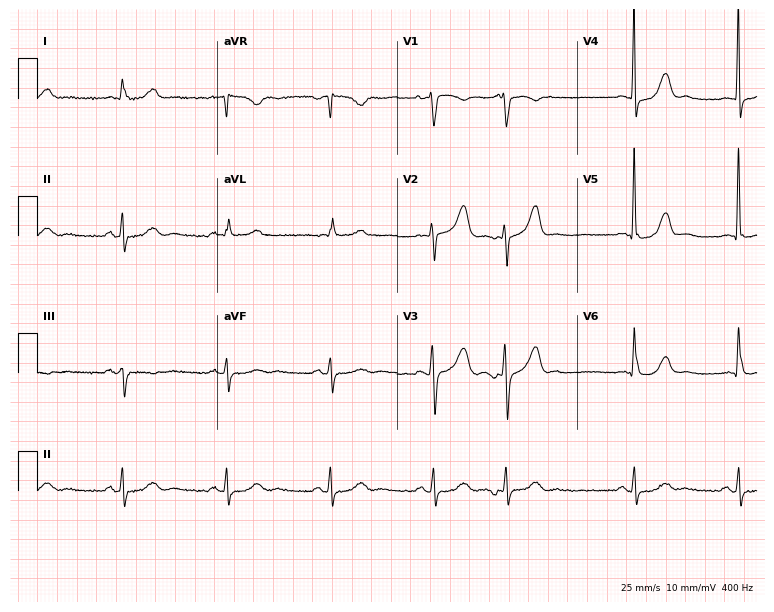
ECG — a female, 72 years old. Labelled as a normal ECG.